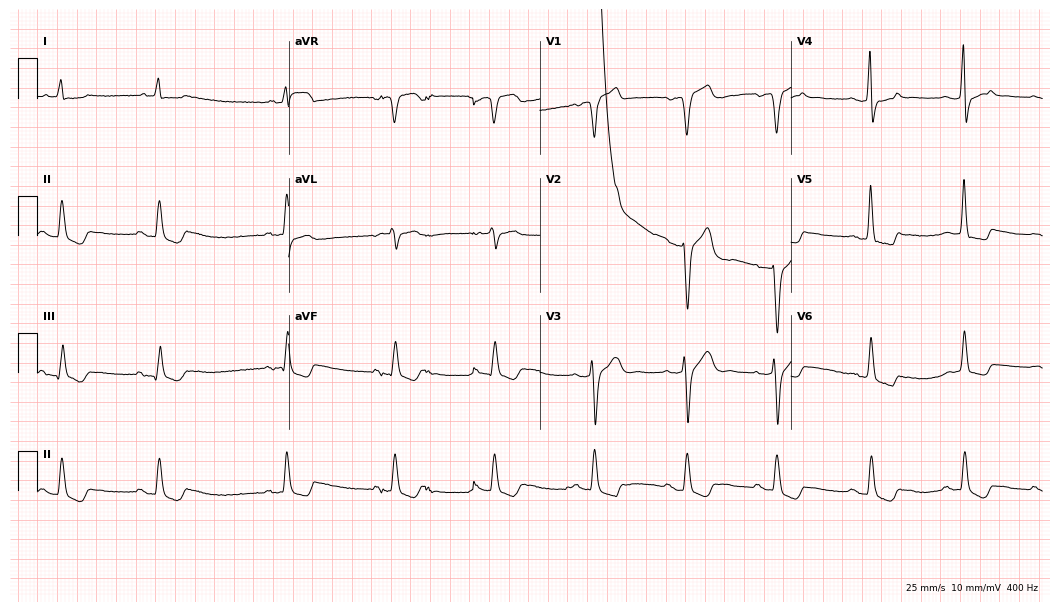
ECG (10.2-second recording at 400 Hz) — a man, 85 years old. Screened for six findings — first-degree AV block, right bundle branch block (RBBB), left bundle branch block (LBBB), sinus bradycardia, atrial fibrillation (AF), sinus tachycardia — none is recorded. Other findings, if any, are not listed.